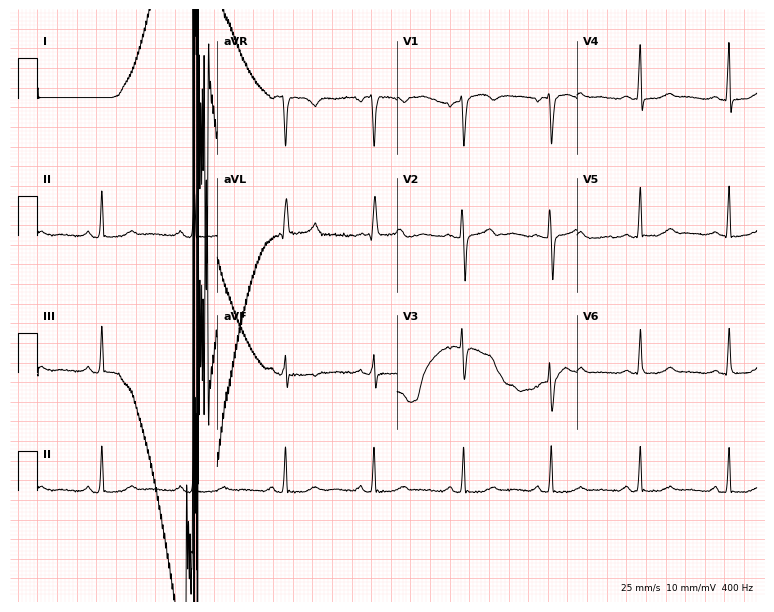
12-lead ECG from a female, 61 years old (7.3-second recording at 400 Hz). No first-degree AV block, right bundle branch block (RBBB), left bundle branch block (LBBB), sinus bradycardia, atrial fibrillation (AF) or sinus tachycardia recorded for this tracing. Other findings, if any, are not listed.